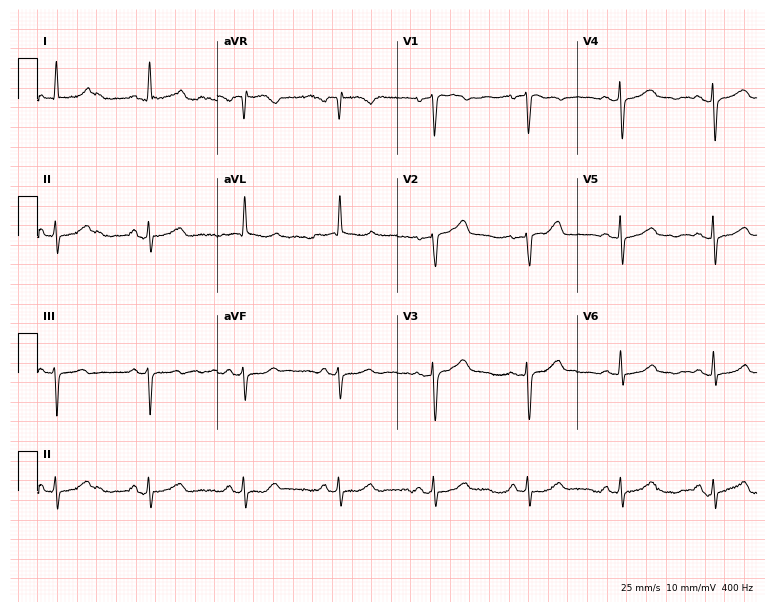
ECG (7.3-second recording at 400 Hz) — a male, 60 years old. Screened for six findings — first-degree AV block, right bundle branch block (RBBB), left bundle branch block (LBBB), sinus bradycardia, atrial fibrillation (AF), sinus tachycardia — none is recorded.